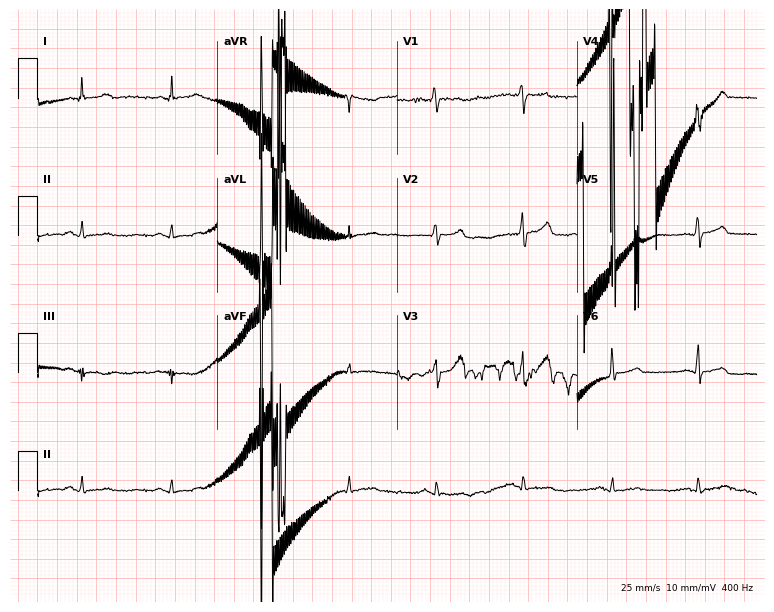
Resting 12-lead electrocardiogram. Patient: a 27-year-old male. None of these six findings is recorded: first-degree AV block, right bundle branch block, left bundle branch block, sinus bradycardia, atrial fibrillation, sinus tachycardia.